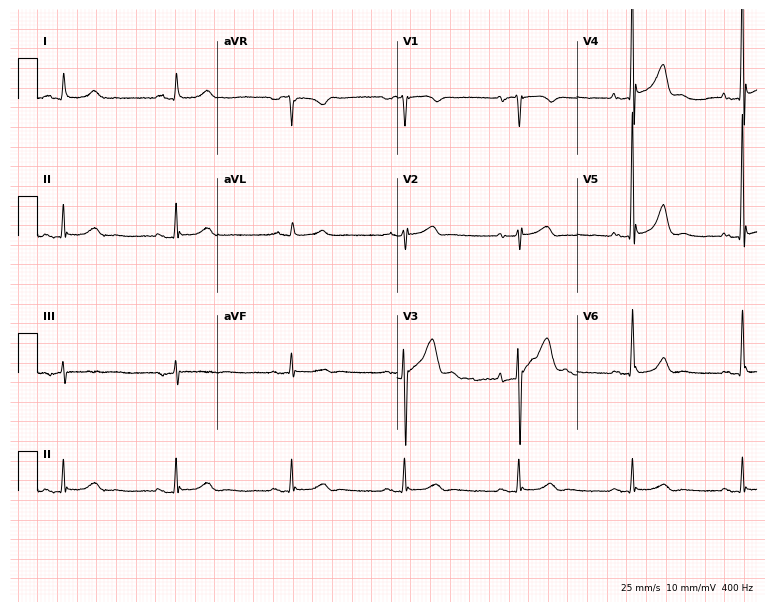
Standard 12-lead ECG recorded from a 68-year-old male patient (7.3-second recording at 400 Hz). None of these six findings is recorded: first-degree AV block, right bundle branch block, left bundle branch block, sinus bradycardia, atrial fibrillation, sinus tachycardia. Only these six findings were labelled.